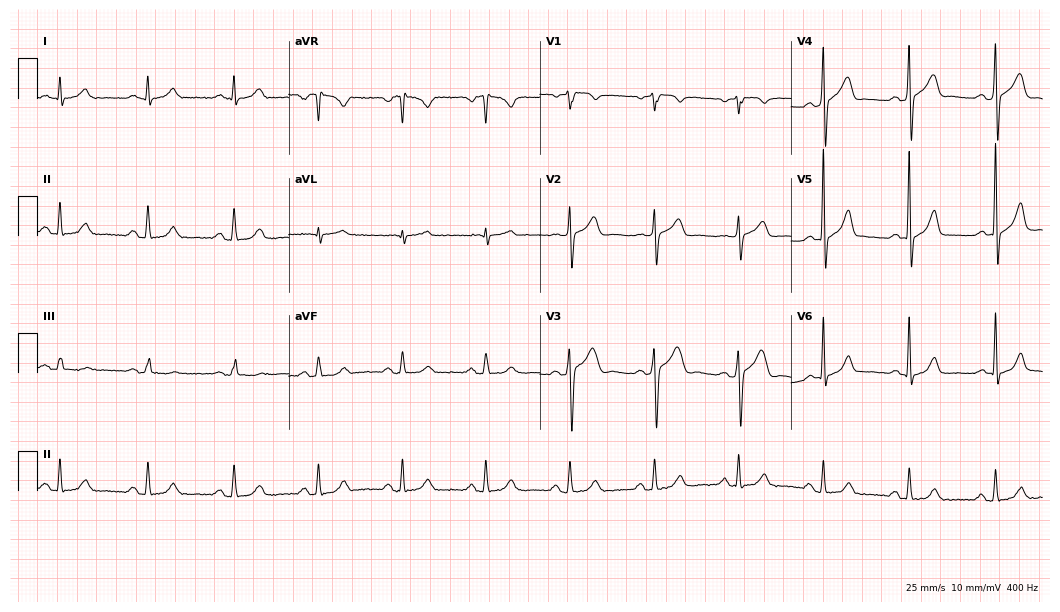
Resting 12-lead electrocardiogram. Patient: a man, 47 years old. Read as a normal ECG.